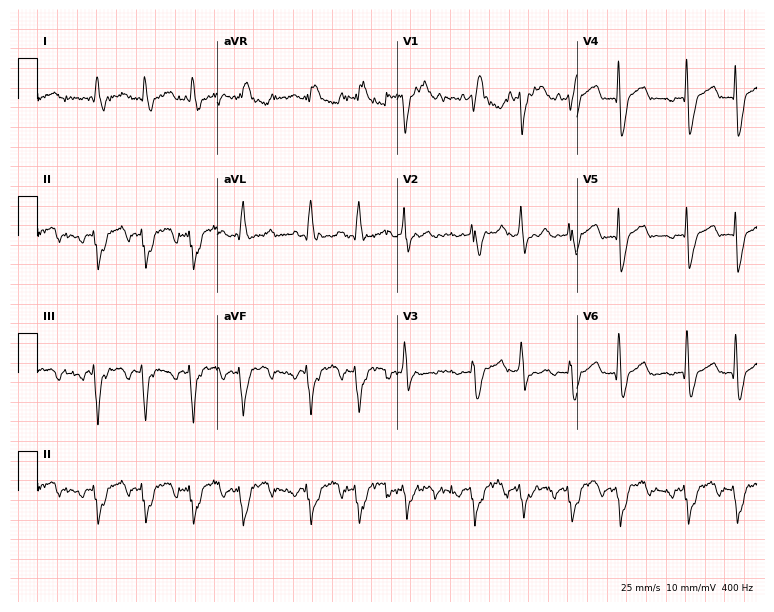
ECG — a 44-year-old man. Findings include right bundle branch block (RBBB).